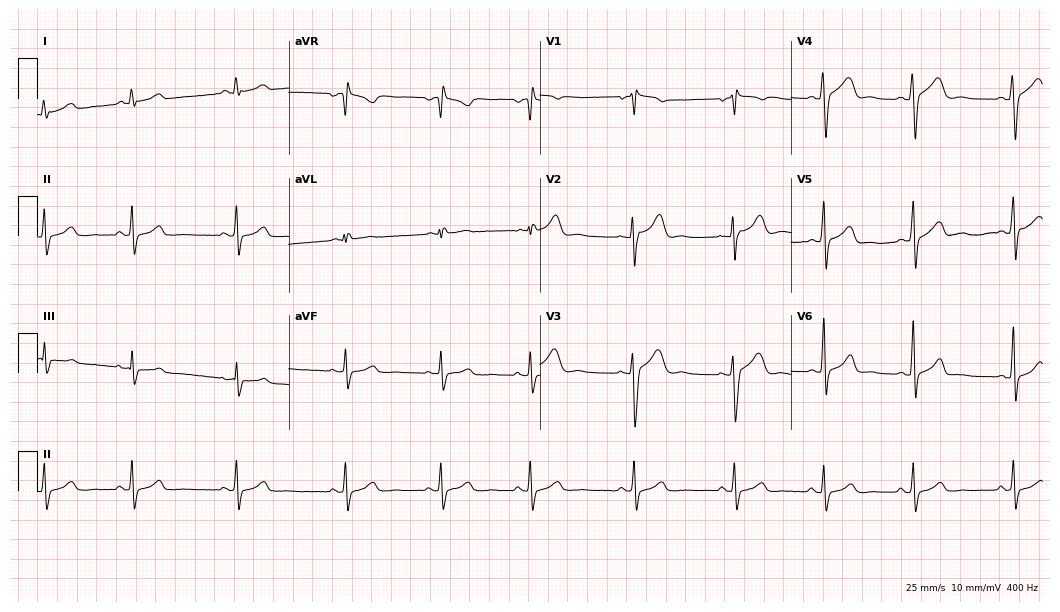
12-lead ECG from a 26-year-old female. No first-degree AV block, right bundle branch block, left bundle branch block, sinus bradycardia, atrial fibrillation or sinus tachycardia recorded for this tracing.